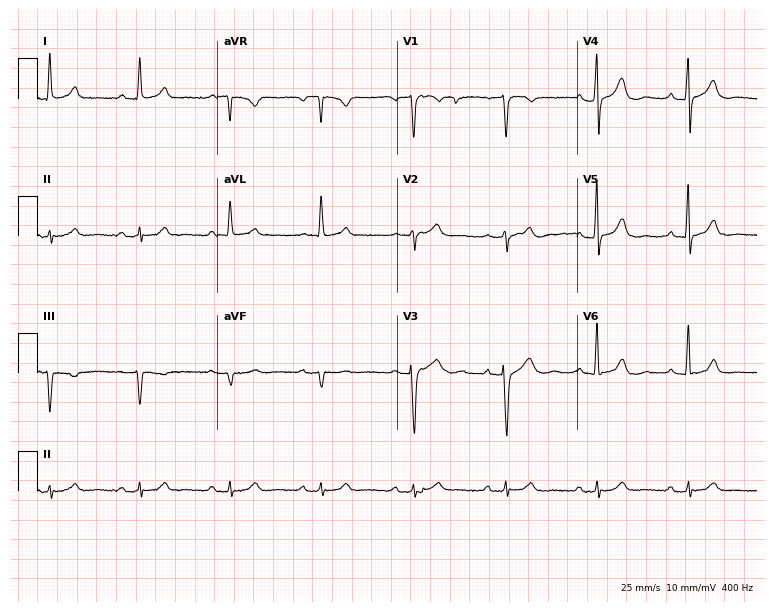
12-lead ECG (7.3-second recording at 400 Hz) from a male, 71 years old. Labelled as a normal ECG.